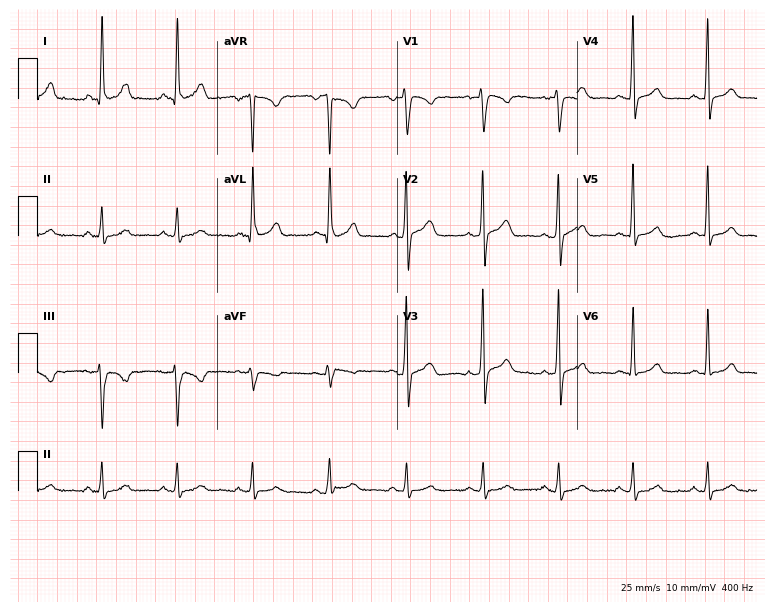
Standard 12-lead ECG recorded from a 42-year-old male. None of these six findings is recorded: first-degree AV block, right bundle branch block, left bundle branch block, sinus bradycardia, atrial fibrillation, sinus tachycardia. Findings outside these six are not listed.